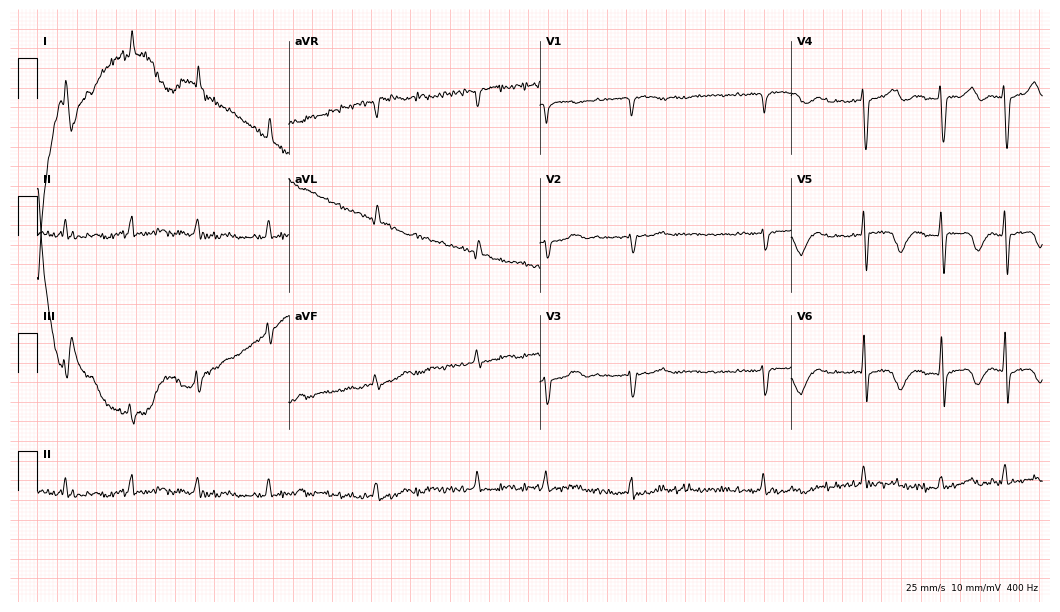
ECG — a male patient, 81 years old. Screened for six findings — first-degree AV block, right bundle branch block, left bundle branch block, sinus bradycardia, atrial fibrillation, sinus tachycardia — none is recorded.